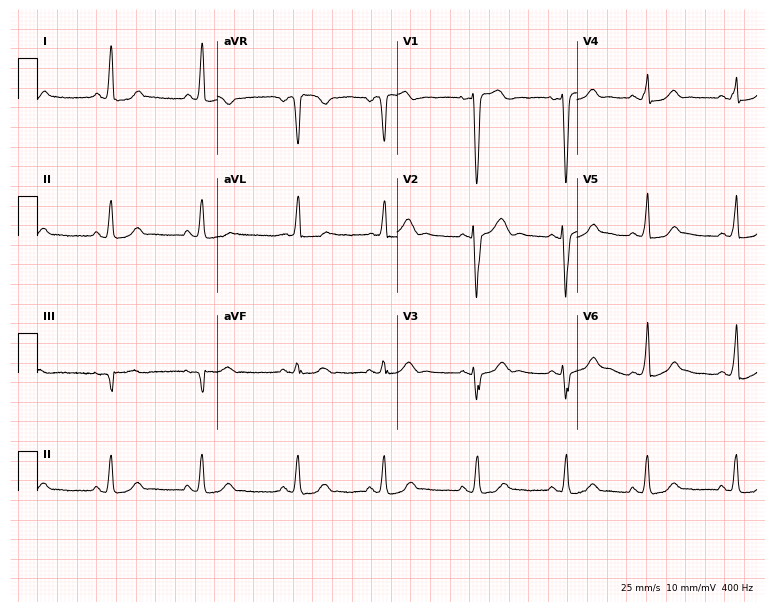
12-lead ECG from a 21-year-old female patient. No first-degree AV block, right bundle branch block (RBBB), left bundle branch block (LBBB), sinus bradycardia, atrial fibrillation (AF) or sinus tachycardia recorded for this tracing.